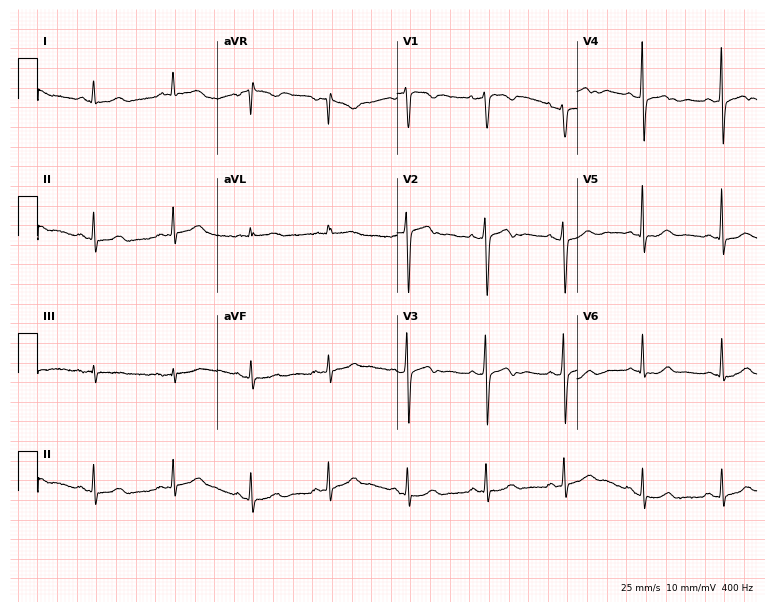
Standard 12-lead ECG recorded from a woman, 56 years old (7.3-second recording at 400 Hz). None of these six findings is recorded: first-degree AV block, right bundle branch block, left bundle branch block, sinus bradycardia, atrial fibrillation, sinus tachycardia. Only these six findings were labelled.